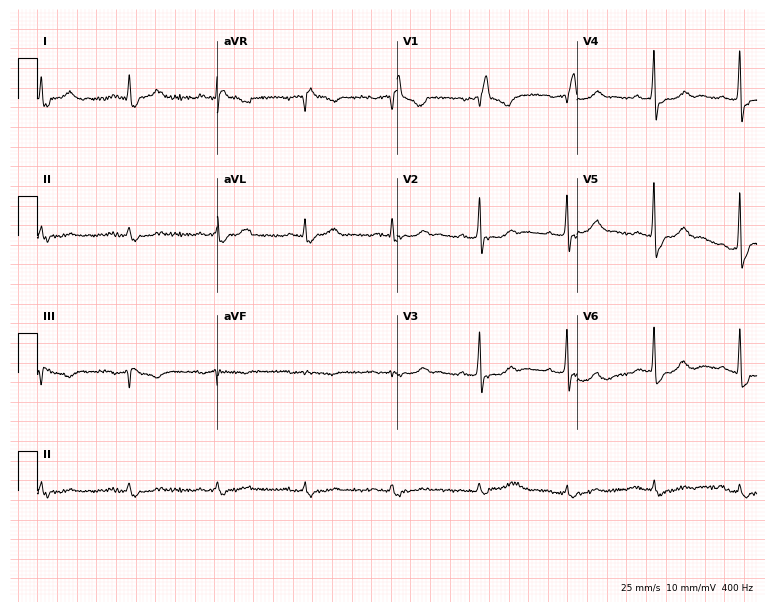
Electrocardiogram (7.3-second recording at 400 Hz), an 81-year-old man. Interpretation includes right bundle branch block.